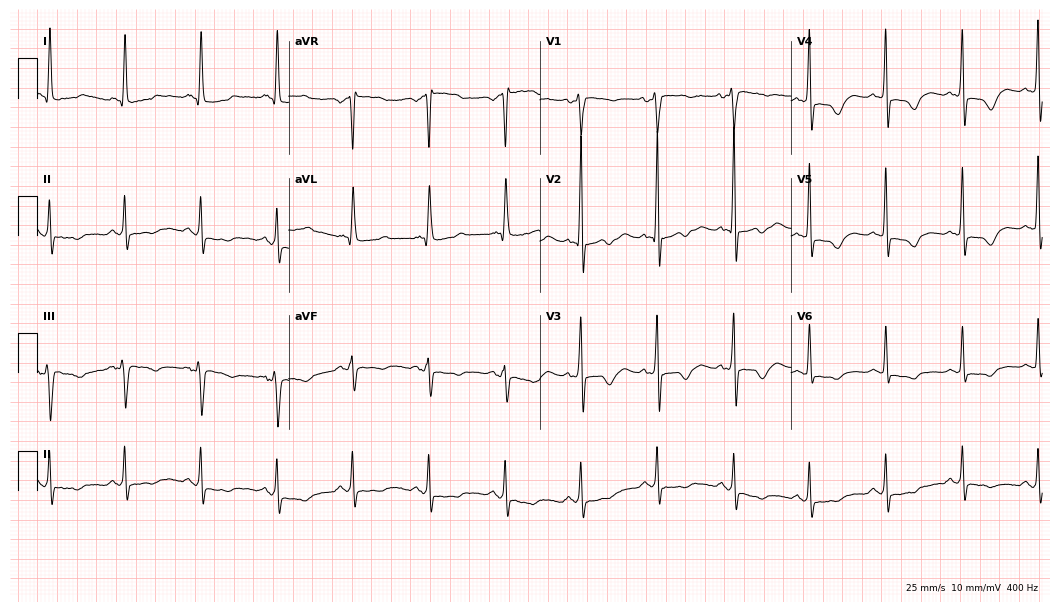
12-lead ECG from a 60-year-old female (10.2-second recording at 400 Hz). No first-degree AV block, right bundle branch block (RBBB), left bundle branch block (LBBB), sinus bradycardia, atrial fibrillation (AF) or sinus tachycardia recorded for this tracing. Findings outside these six are not listed.